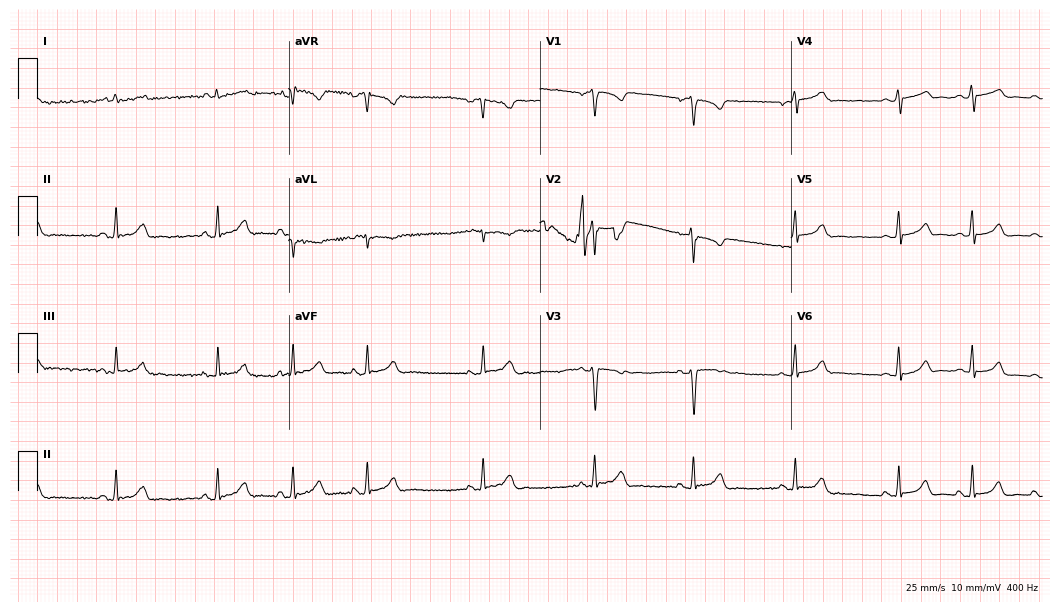
Electrocardiogram (10.2-second recording at 400 Hz), a 19-year-old female patient. Overall reading on record: normal ECG.